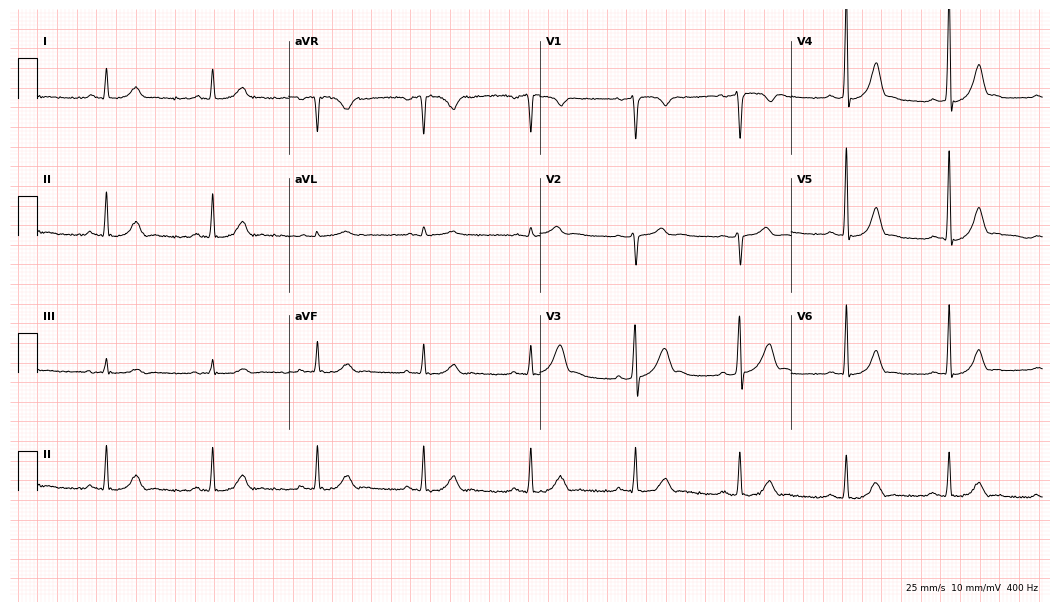
ECG (10.2-second recording at 400 Hz) — a 24-year-old male patient. Labelled as a normal ECG.